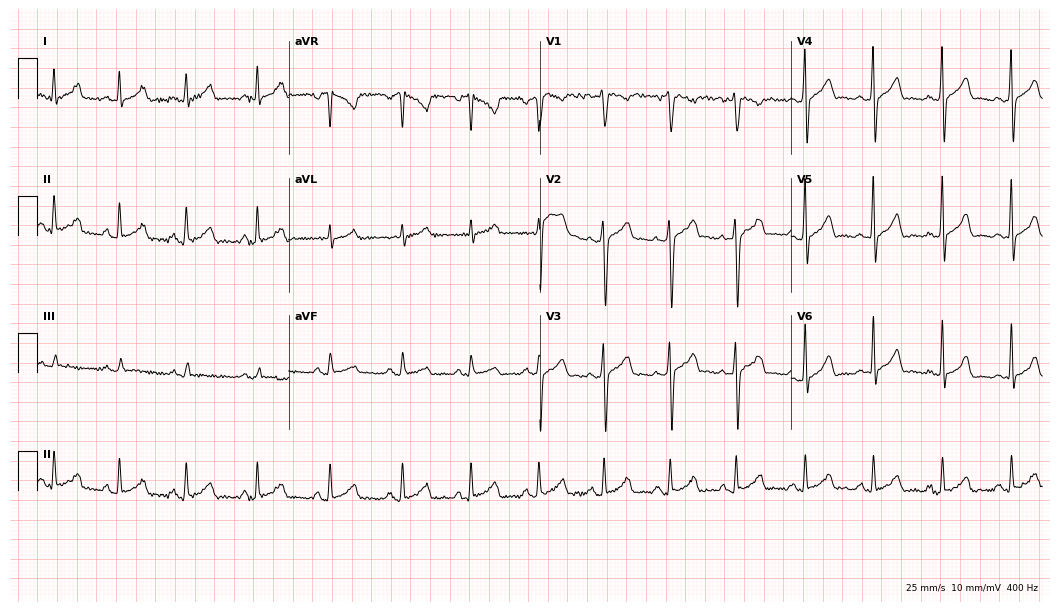
Resting 12-lead electrocardiogram (10.2-second recording at 400 Hz). Patient: a 23-year-old man. None of these six findings is recorded: first-degree AV block, right bundle branch block, left bundle branch block, sinus bradycardia, atrial fibrillation, sinus tachycardia.